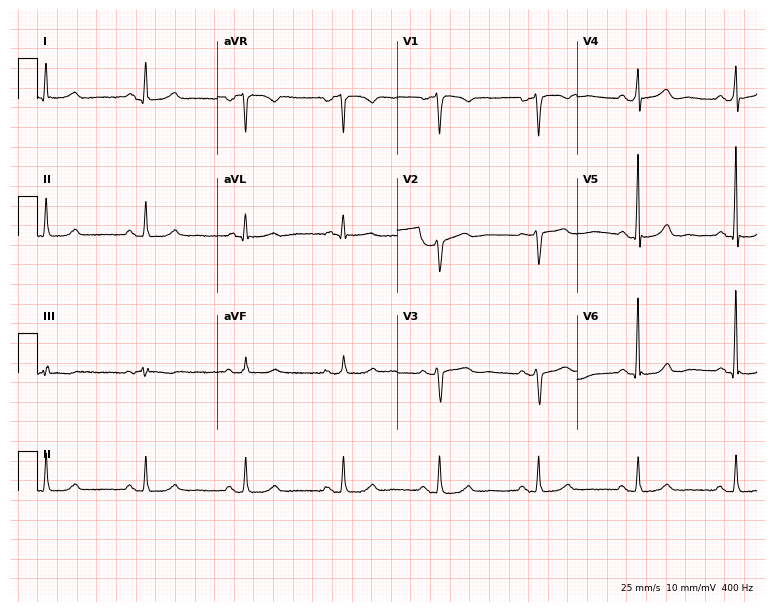
12-lead ECG from a 70-year-old female patient. No first-degree AV block, right bundle branch block, left bundle branch block, sinus bradycardia, atrial fibrillation or sinus tachycardia recorded for this tracing.